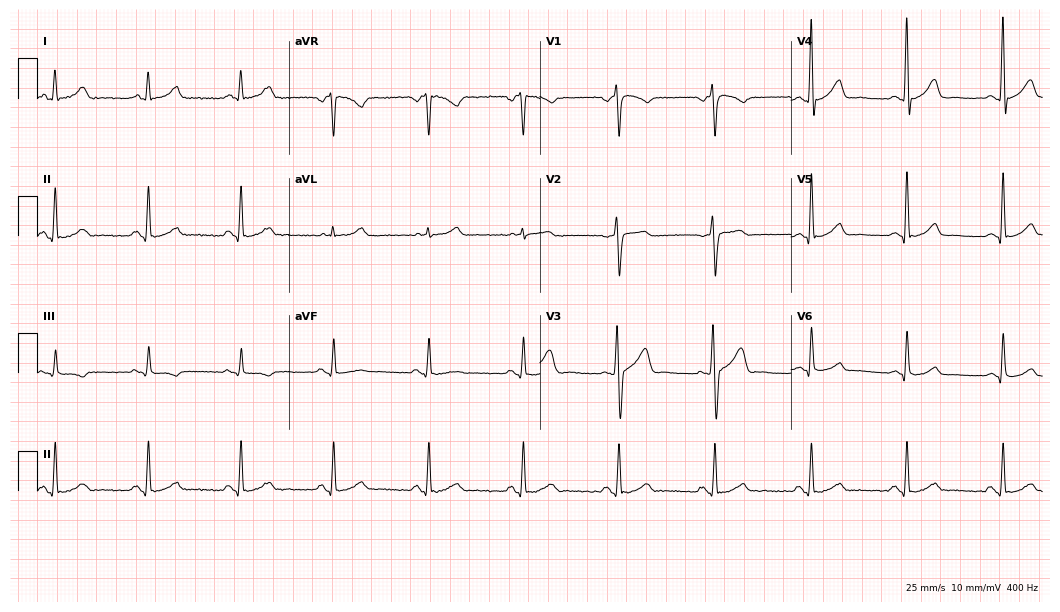
Electrocardiogram (10.2-second recording at 400 Hz), a 52-year-old male patient. Overall reading on record: normal ECG.